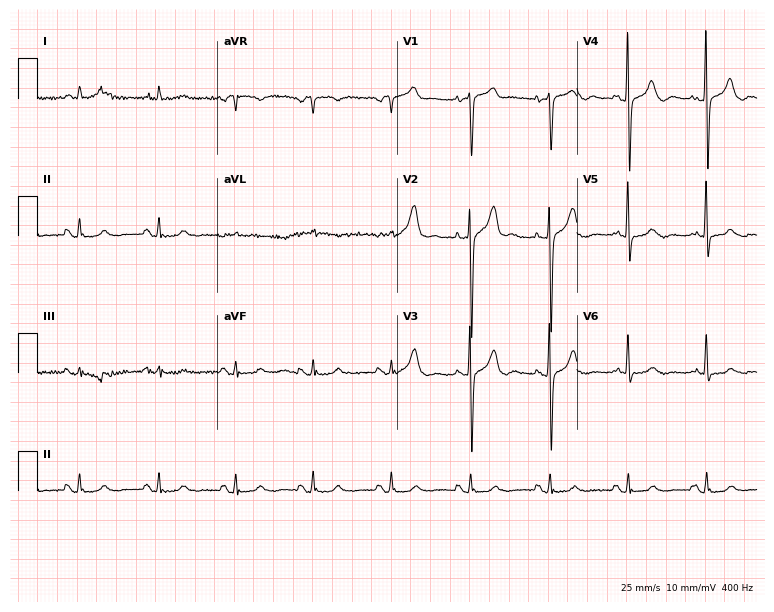
Standard 12-lead ECG recorded from a 69-year-old man. None of these six findings is recorded: first-degree AV block, right bundle branch block, left bundle branch block, sinus bradycardia, atrial fibrillation, sinus tachycardia. Findings outside these six are not listed.